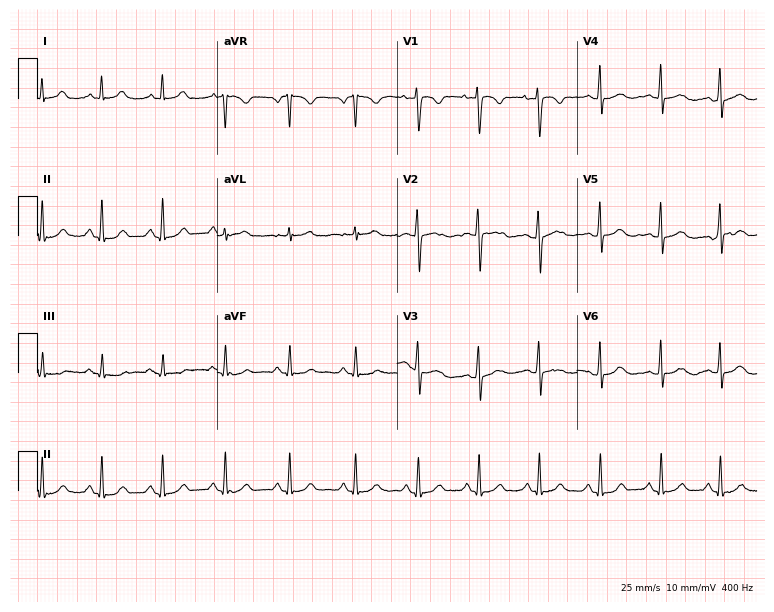
12-lead ECG from a 36-year-old female patient. No first-degree AV block, right bundle branch block, left bundle branch block, sinus bradycardia, atrial fibrillation or sinus tachycardia recorded for this tracing.